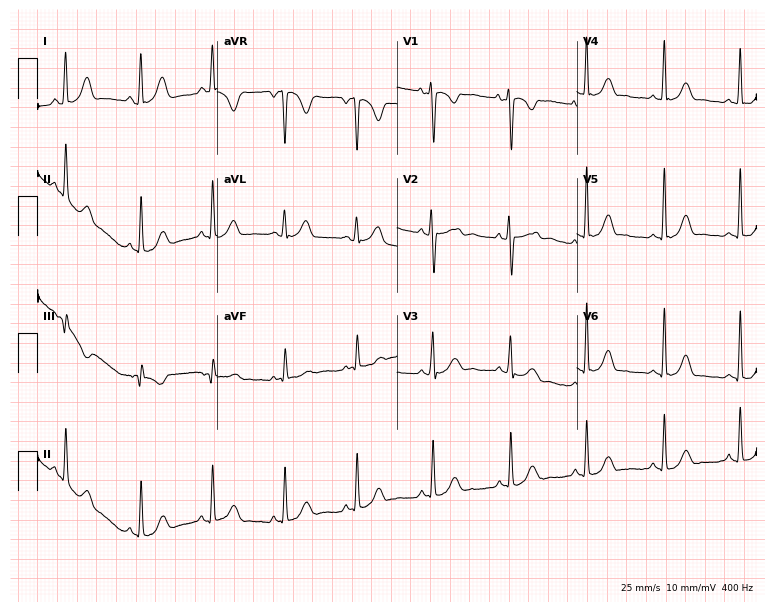
Electrocardiogram, a 23-year-old female patient. Of the six screened findings (first-degree AV block, right bundle branch block (RBBB), left bundle branch block (LBBB), sinus bradycardia, atrial fibrillation (AF), sinus tachycardia), none is recorded.